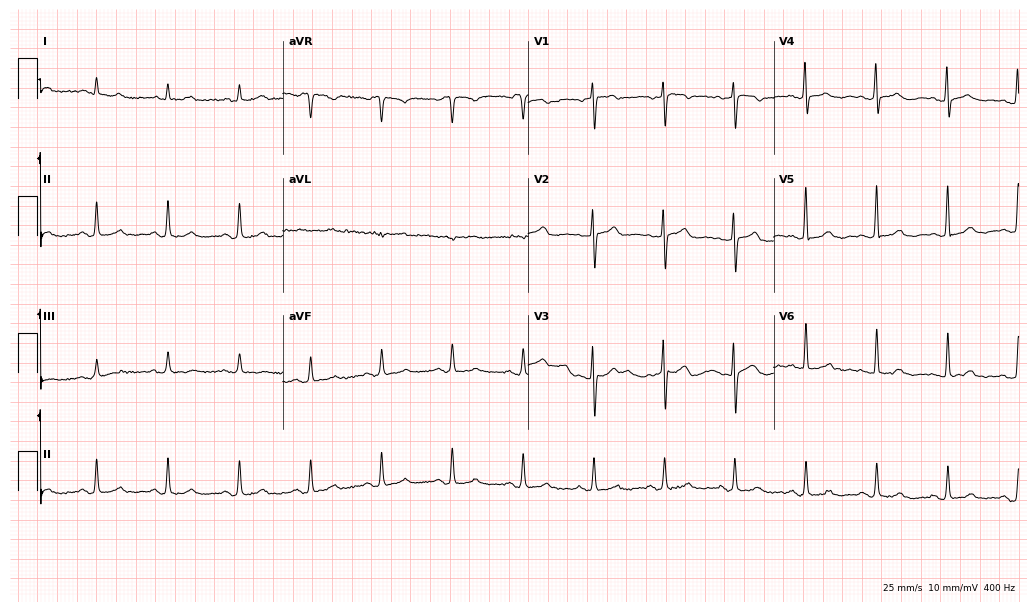
Resting 12-lead electrocardiogram. Patient: a female, 83 years old. Read as a normal ECG.